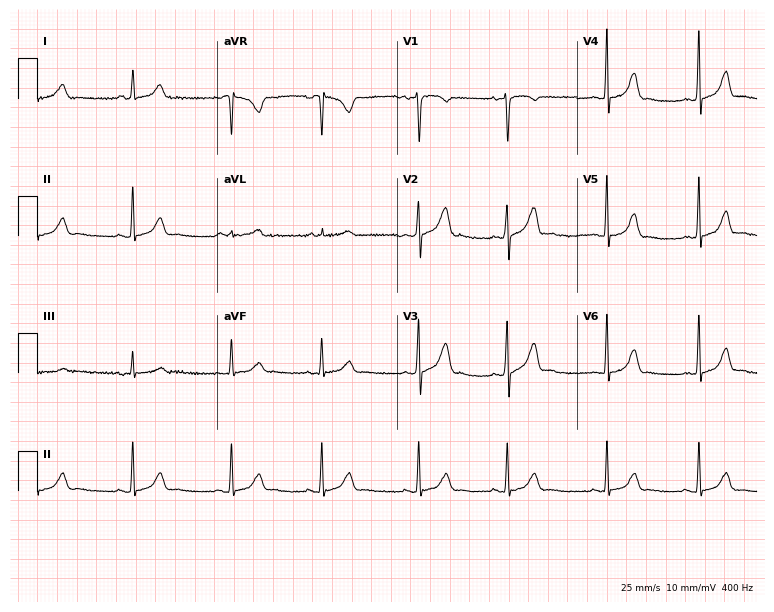
Resting 12-lead electrocardiogram (7.3-second recording at 400 Hz). Patient: an 18-year-old female. None of these six findings is recorded: first-degree AV block, right bundle branch block, left bundle branch block, sinus bradycardia, atrial fibrillation, sinus tachycardia. Other findings, if any, are not listed.